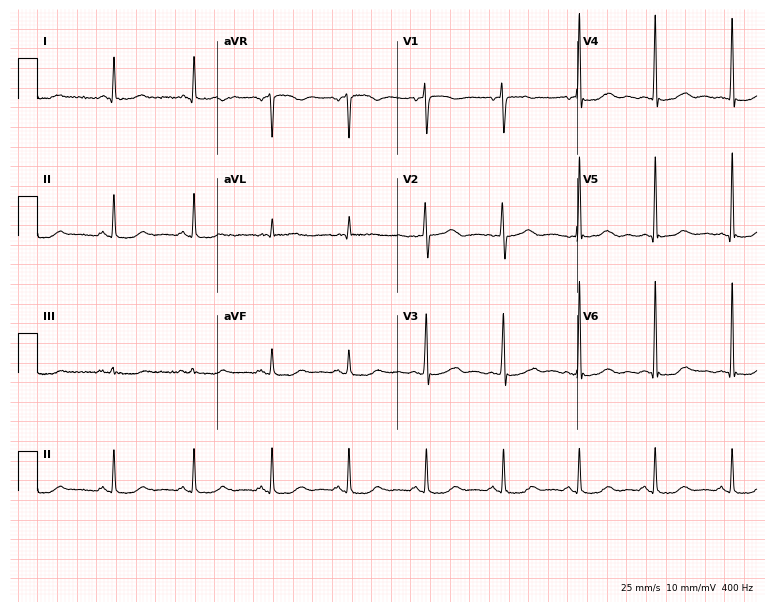
ECG — a female, 58 years old. Screened for six findings — first-degree AV block, right bundle branch block, left bundle branch block, sinus bradycardia, atrial fibrillation, sinus tachycardia — none is recorded.